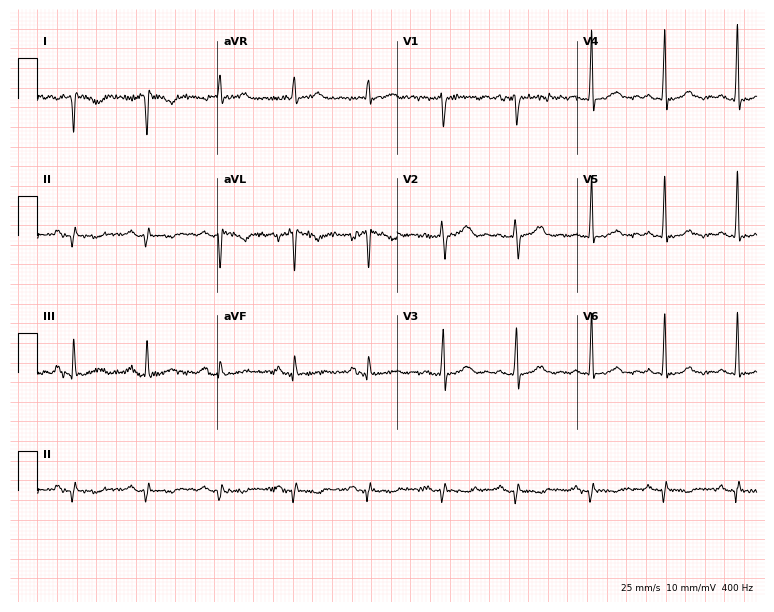
ECG (7.3-second recording at 400 Hz) — a 60-year-old woman. Screened for six findings — first-degree AV block, right bundle branch block (RBBB), left bundle branch block (LBBB), sinus bradycardia, atrial fibrillation (AF), sinus tachycardia — none is recorded.